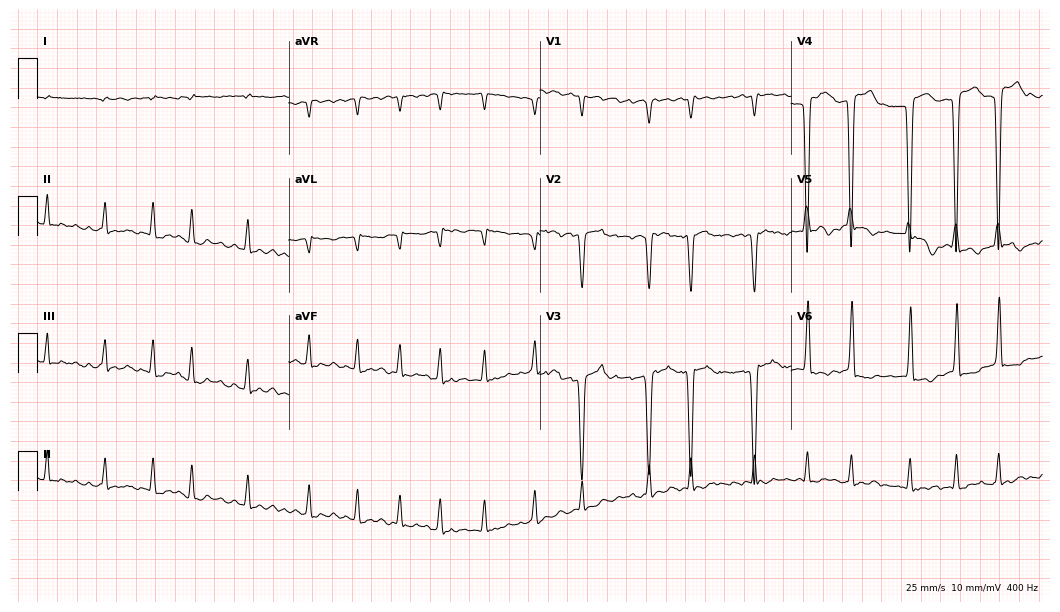
12-lead ECG (10.2-second recording at 400 Hz) from a 48-year-old male patient. Findings include atrial fibrillation.